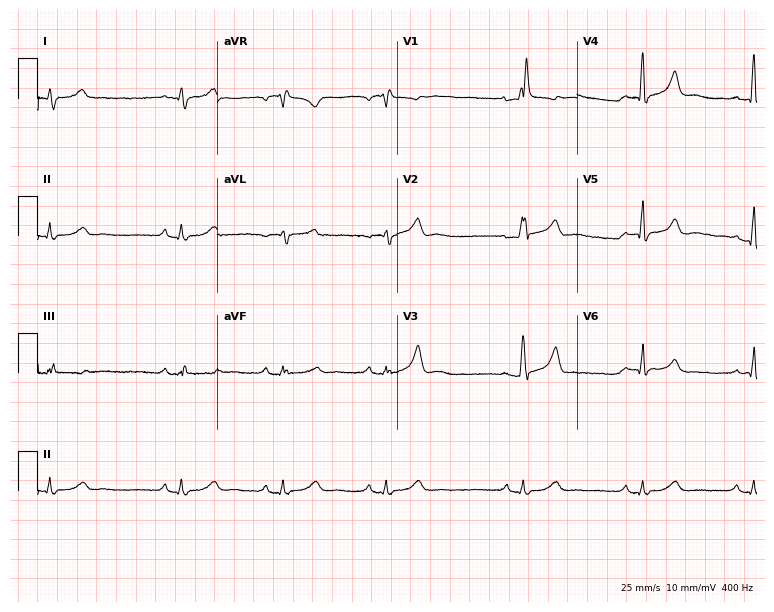
12-lead ECG from a male patient, 54 years old. No first-degree AV block, right bundle branch block, left bundle branch block, sinus bradycardia, atrial fibrillation or sinus tachycardia recorded for this tracing. Findings outside these six are not listed.